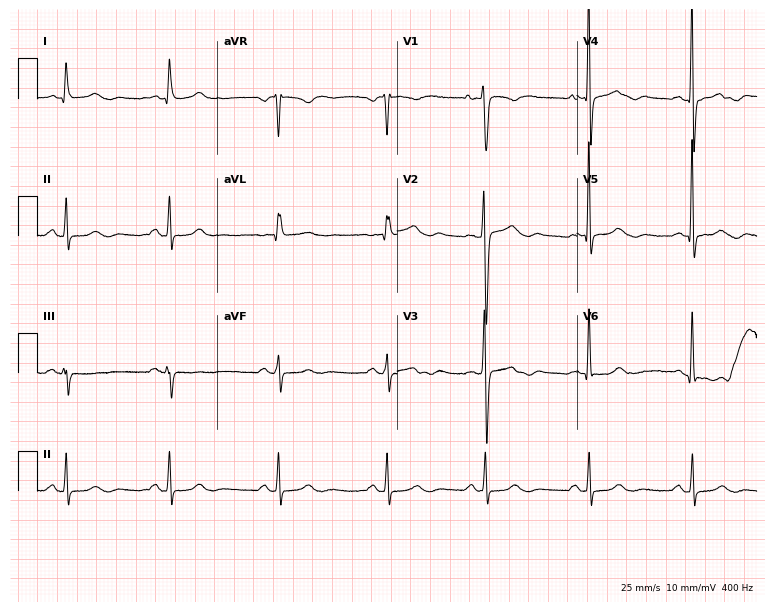
12-lead ECG from a 54-year-old female. No first-degree AV block, right bundle branch block, left bundle branch block, sinus bradycardia, atrial fibrillation or sinus tachycardia recorded for this tracing. Other findings, if any, are not listed.